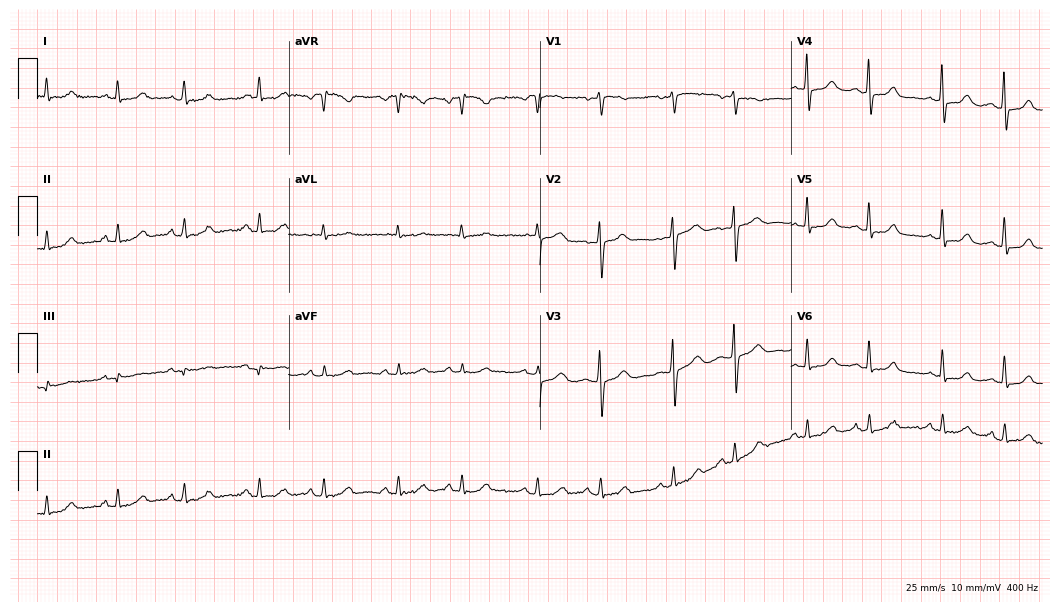
Resting 12-lead electrocardiogram. Patient: a woman, 69 years old. Read as a normal ECG.